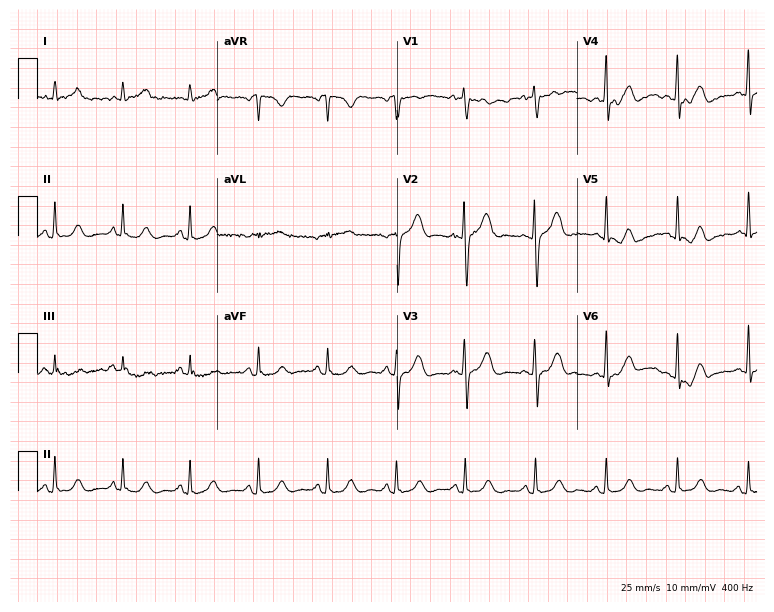
12-lead ECG from a woman, 41 years old. Labelled as a normal ECG.